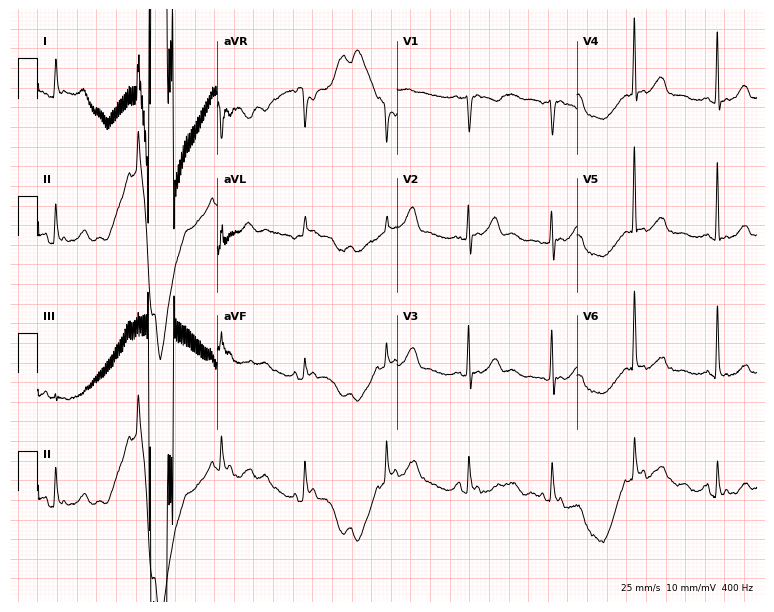
12-lead ECG from an 80-year-old woman. Screened for six findings — first-degree AV block, right bundle branch block, left bundle branch block, sinus bradycardia, atrial fibrillation, sinus tachycardia — none is recorded. Other findings, if any, are not listed.